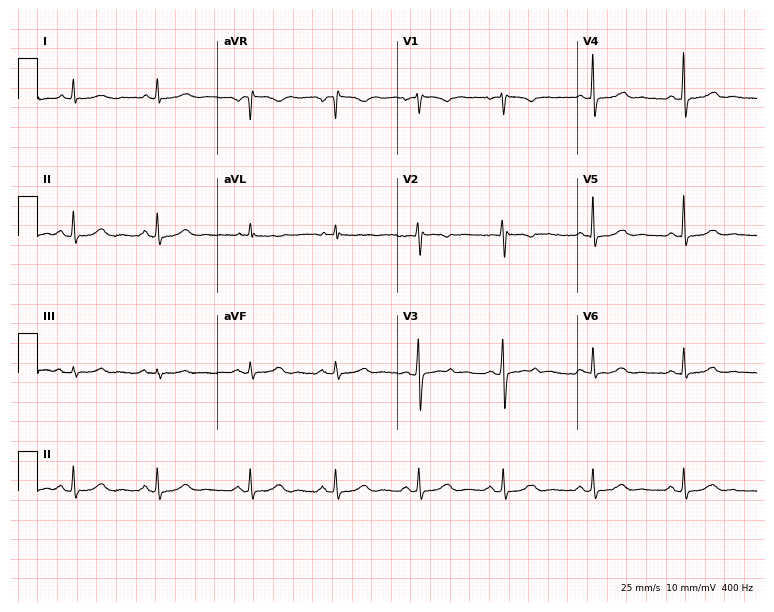
Electrocardiogram (7.3-second recording at 400 Hz), a 33-year-old female. Overall reading on record: normal ECG.